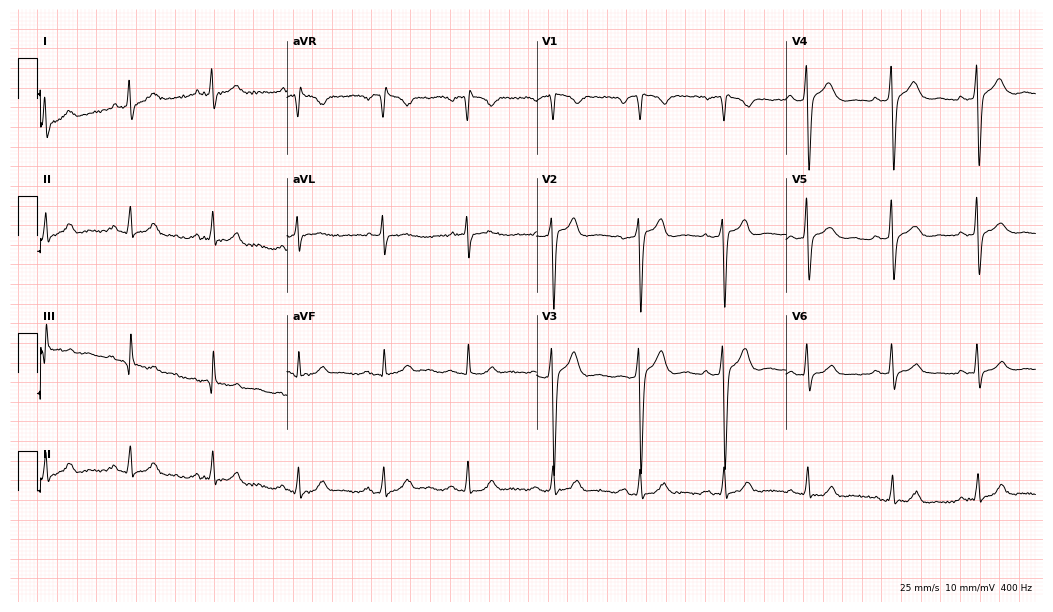
Standard 12-lead ECG recorded from a 53-year-old man (10.2-second recording at 400 Hz). None of these six findings is recorded: first-degree AV block, right bundle branch block, left bundle branch block, sinus bradycardia, atrial fibrillation, sinus tachycardia. Only these six findings were labelled.